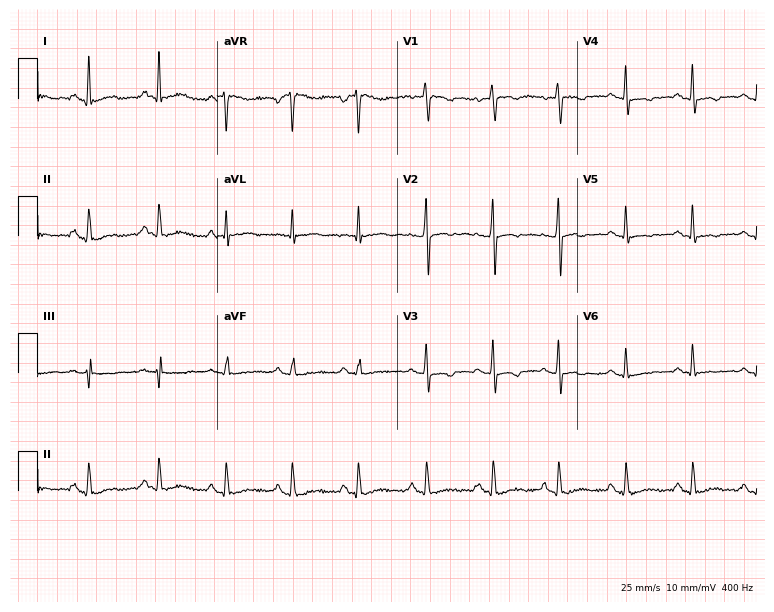
12-lead ECG from a 41-year-old female patient (7.3-second recording at 400 Hz). No first-degree AV block, right bundle branch block, left bundle branch block, sinus bradycardia, atrial fibrillation or sinus tachycardia recorded for this tracing.